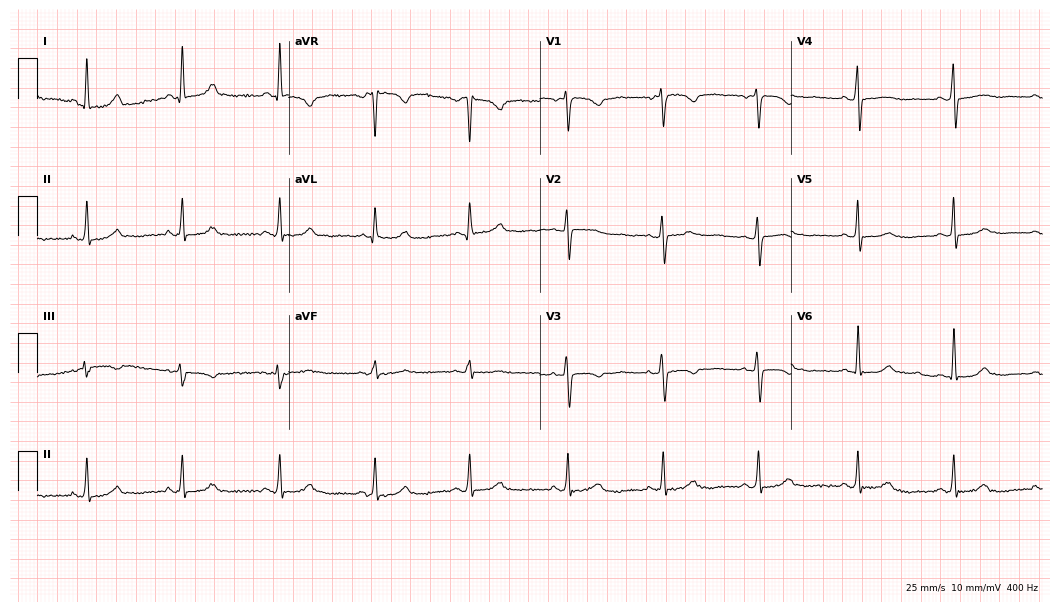
ECG (10.2-second recording at 400 Hz) — a female patient, 55 years old. Labelled as a normal ECG.